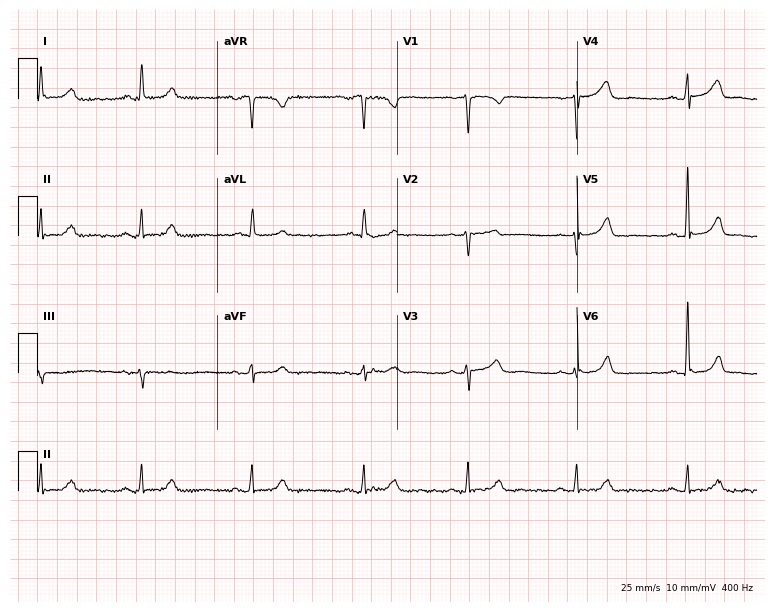
12-lead ECG from a 44-year-old woman. No first-degree AV block, right bundle branch block, left bundle branch block, sinus bradycardia, atrial fibrillation or sinus tachycardia recorded for this tracing.